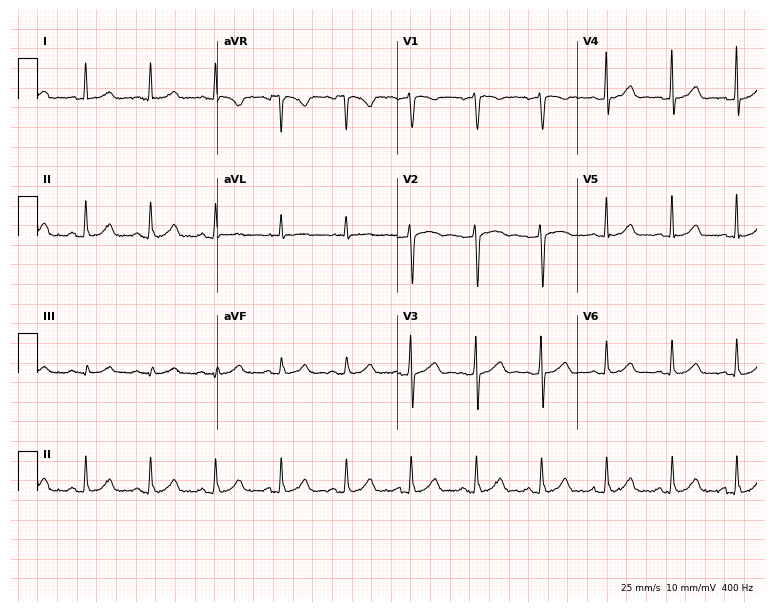
Electrocardiogram (7.3-second recording at 400 Hz), a 51-year-old female patient. Of the six screened findings (first-degree AV block, right bundle branch block (RBBB), left bundle branch block (LBBB), sinus bradycardia, atrial fibrillation (AF), sinus tachycardia), none is recorded. Findings outside these six are not listed.